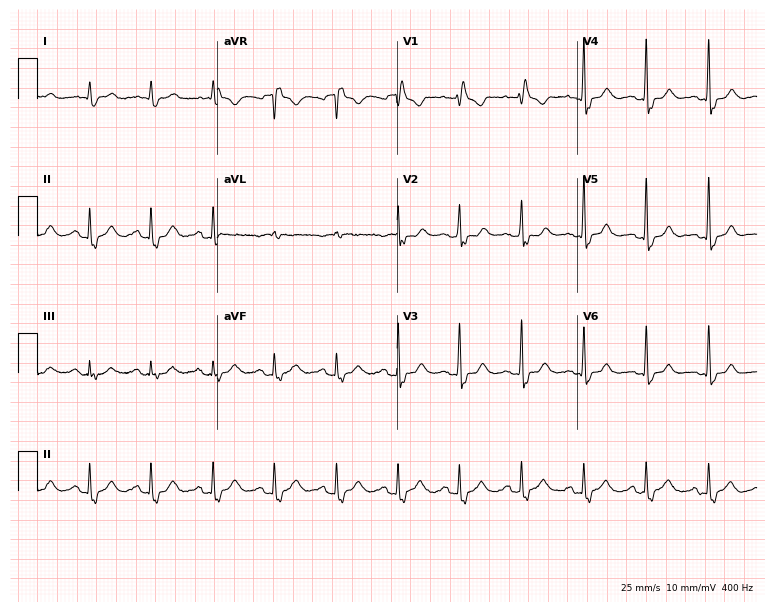
ECG — a man, 73 years old. Findings include right bundle branch block.